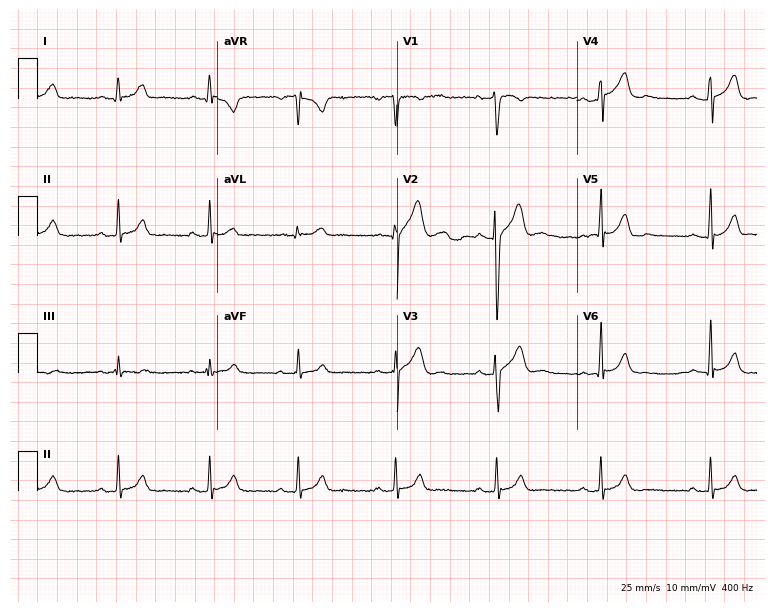
12-lead ECG from a man, 31 years old. Recorded interpretation: within normal limits.